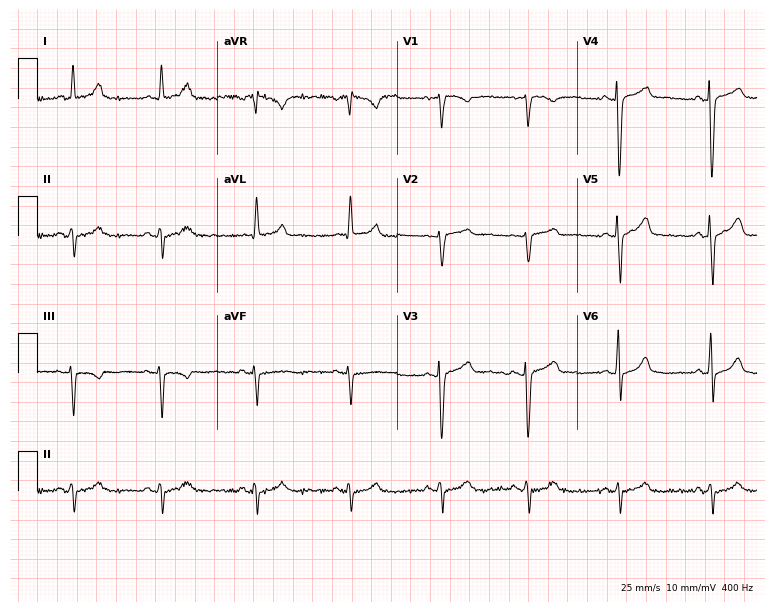
12-lead ECG from a 47-year-old female. Screened for six findings — first-degree AV block, right bundle branch block (RBBB), left bundle branch block (LBBB), sinus bradycardia, atrial fibrillation (AF), sinus tachycardia — none is recorded. Only these six findings were labelled.